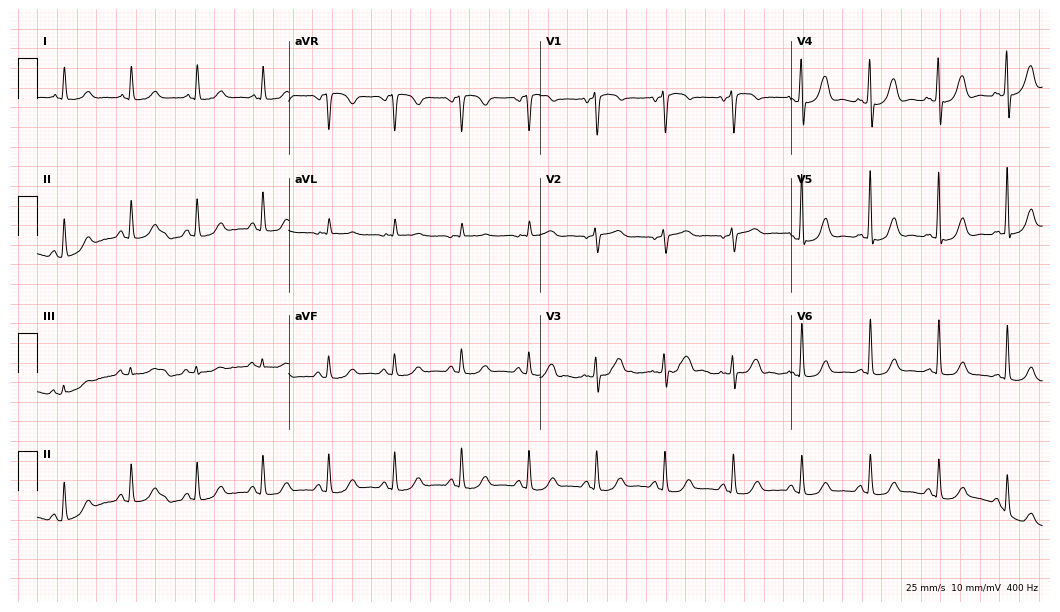
12-lead ECG (10.2-second recording at 400 Hz) from a 74-year-old female patient. Screened for six findings — first-degree AV block, right bundle branch block, left bundle branch block, sinus bradycardia, atrial fibrillation, sinus tachycardia — none is recorded. Findings outside these six are not listed.